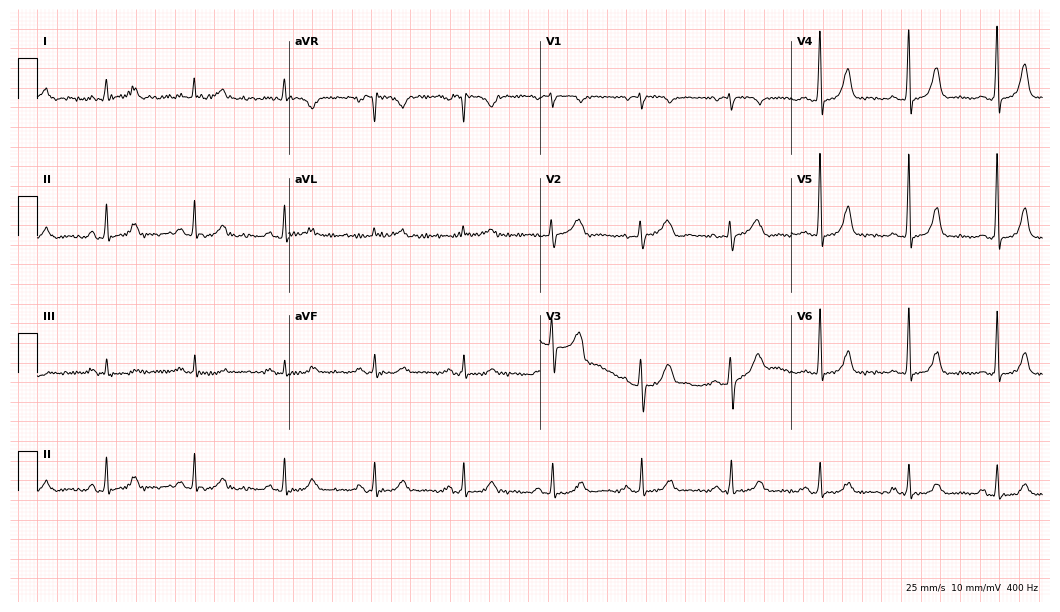
12-lead ECG from a 66-year-old female. Recorded interpretation: within normal limits.